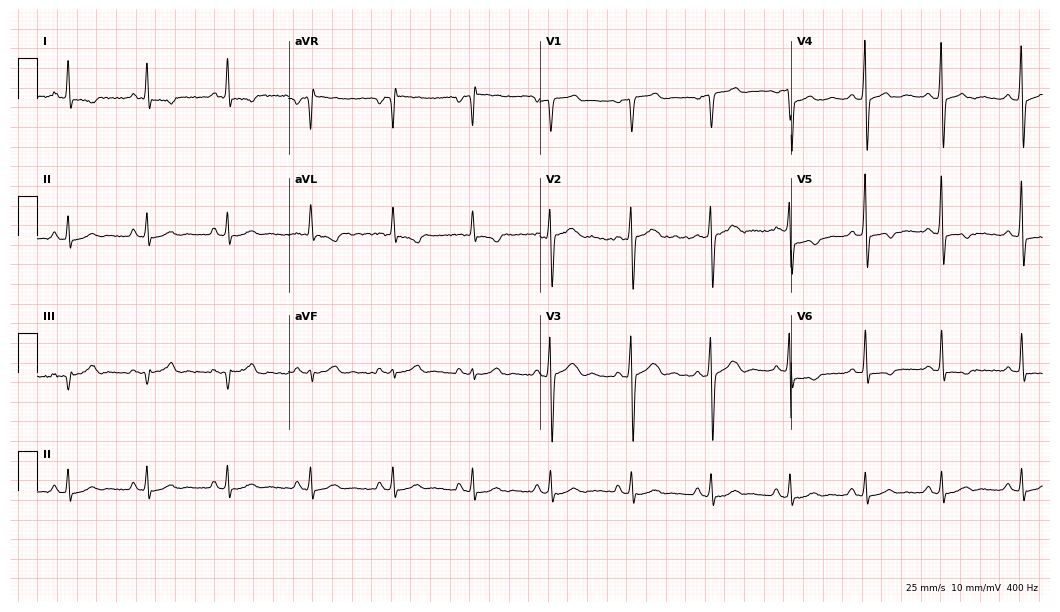
Electrocardiogram (10.2-second recording at 400 Hz), a man, 62 years old. Of the six screened findings (first-degree AV block, right bundle branch block (RBBB), left bundle branch block (LBBB), sinus bradycardia, atrial fibrillation (AF), sinus tachycardia), none is recorded. Findings outside these six are not listed.